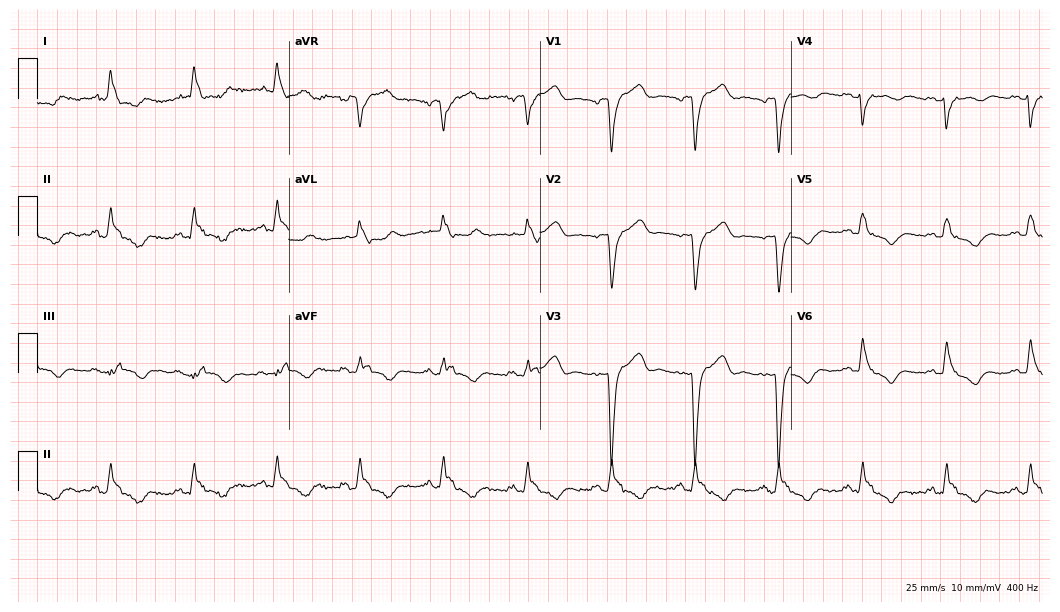
12-lead ECG from an 85-year-old woman (10.2-second recording at 400 Hz). Shows left bundle branch block (LBBB).